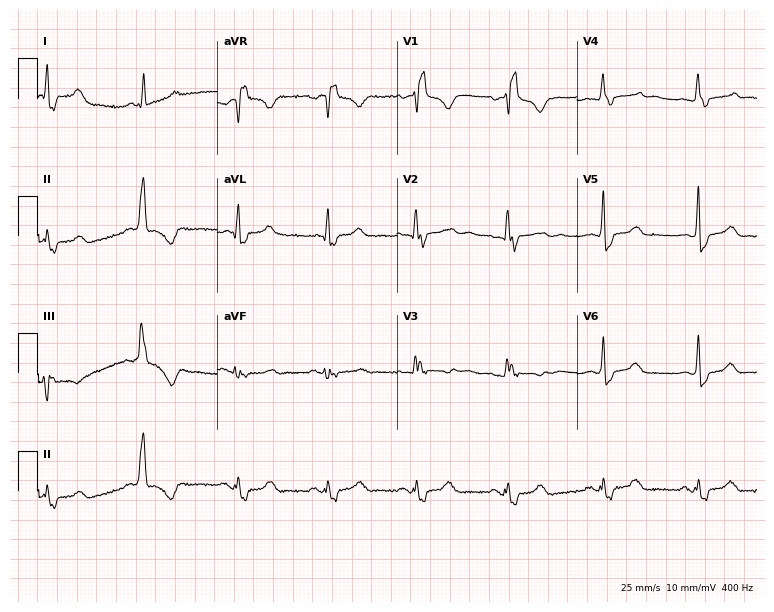
Electrocardiogram, a 45-year-old woman. Interpretation includes right bundle branch block.